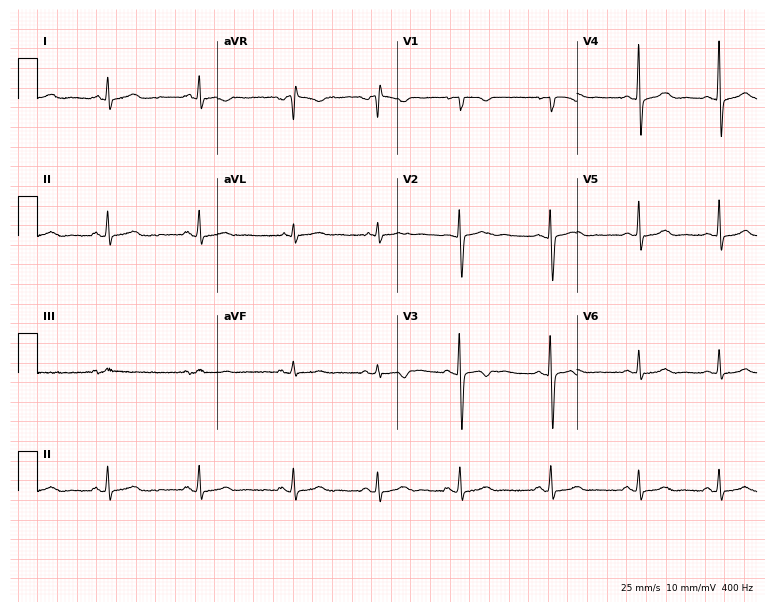
ECG — a 22-year-old female. Labelled as a normal ECG.